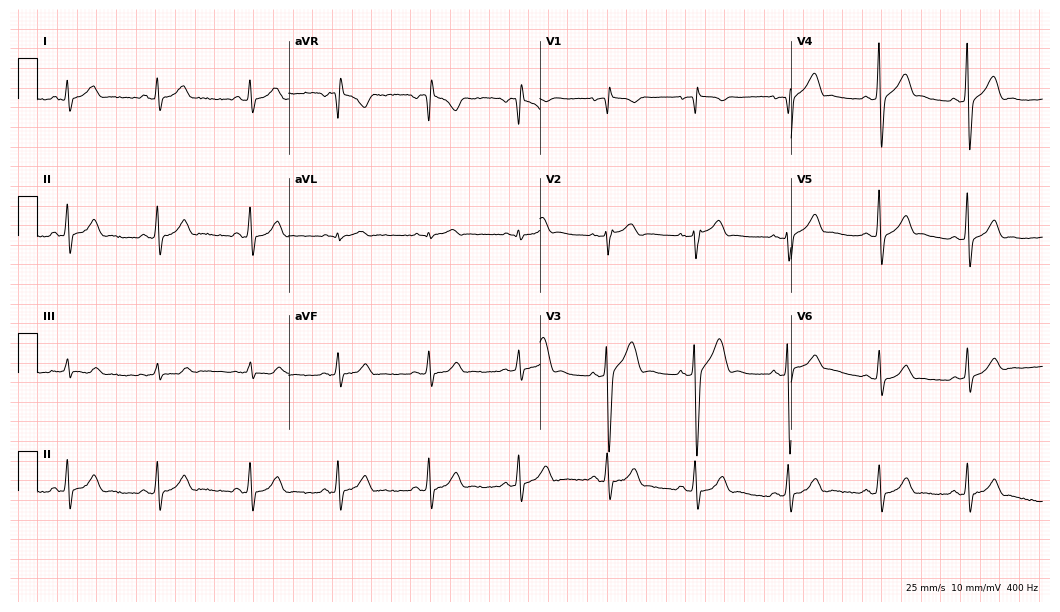
12-lead ECG (10.2-second recording at 400 Hz) from a 48-year-old male. Labelled as a normal ECG.